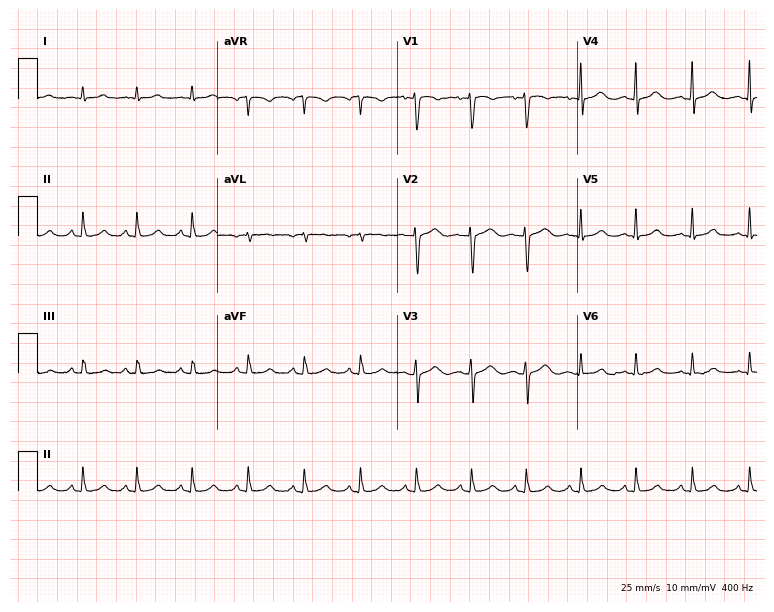
12-lead ECG (7.3-second recording at 400 Hz) from a 28-year-old female. Screened for six findings — first-degree AV block, right bundle branch block, left bundle branch block, sinus bradycardia, atrial fibrillation, sinus tachycardia — none is recorded.